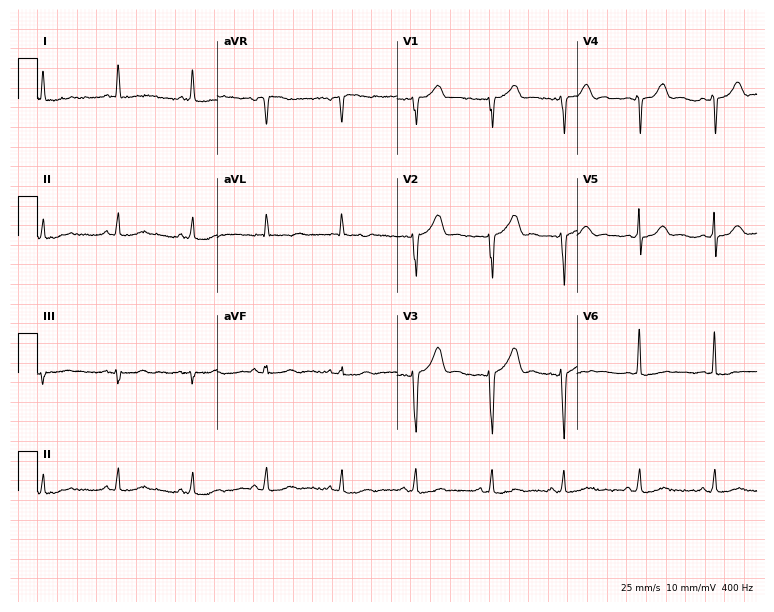
12-lead ECG from a woman, 45 years old (7.3-second recording at 400 Hz). No first-degree AV block, right bundle branch block (RBBB), left bundle branch block (LBBB), sinus bradycardia, atrial fibrillation (AF) or sinus tachycardia recorded for this tracing. Findings outside these six are not listed.